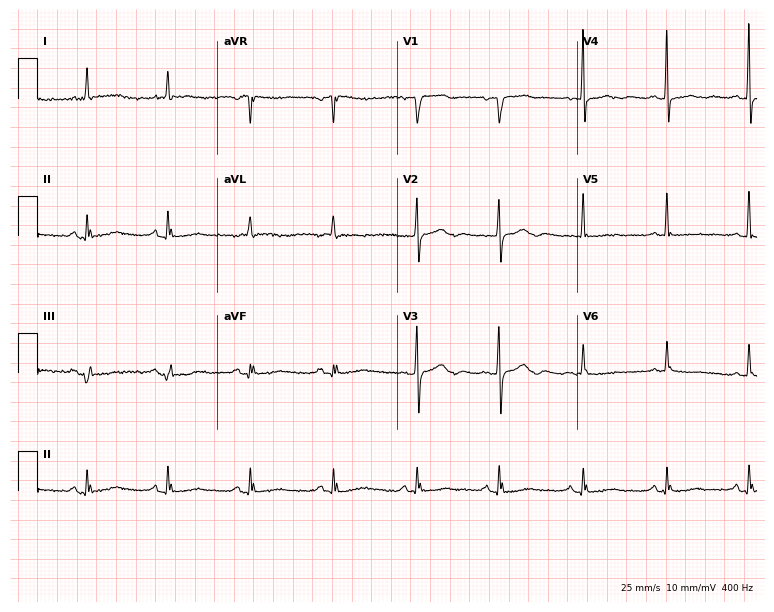
Electrocardiogram, an 85-year-old female. Of the six screened findings (first-degree AV block, right bundle branch block, left bundle branch block, sinus bradycardia, atrial fibrillation, sinus tachycardia), none is recorded. Other findings, if any, are not listed.